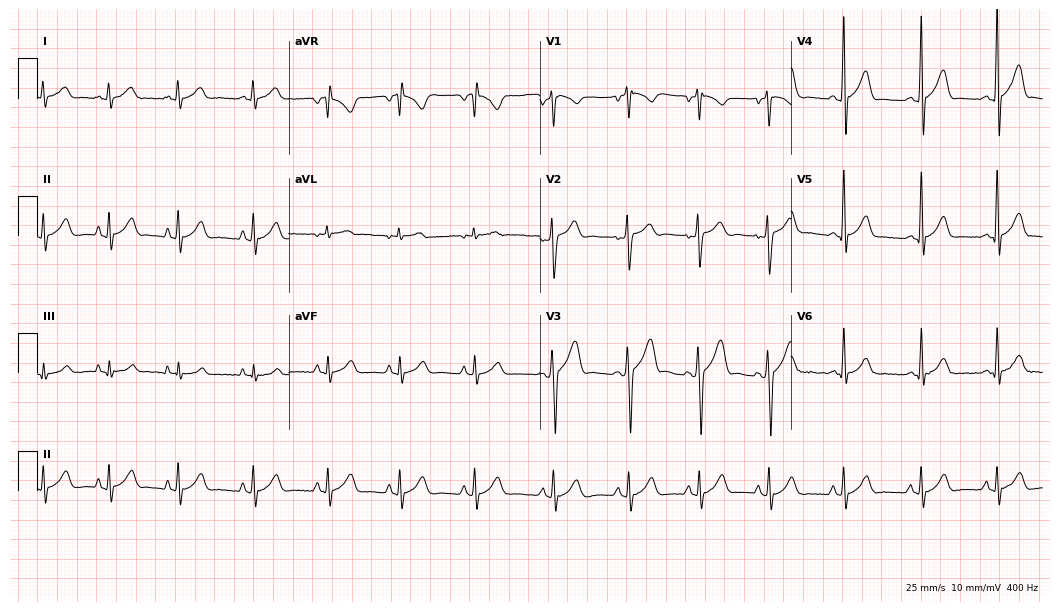
Electrocardiogram (10.2-second recording at 400 Hz), a 24-year-old male patient. Overall reading on record: normal ECG.